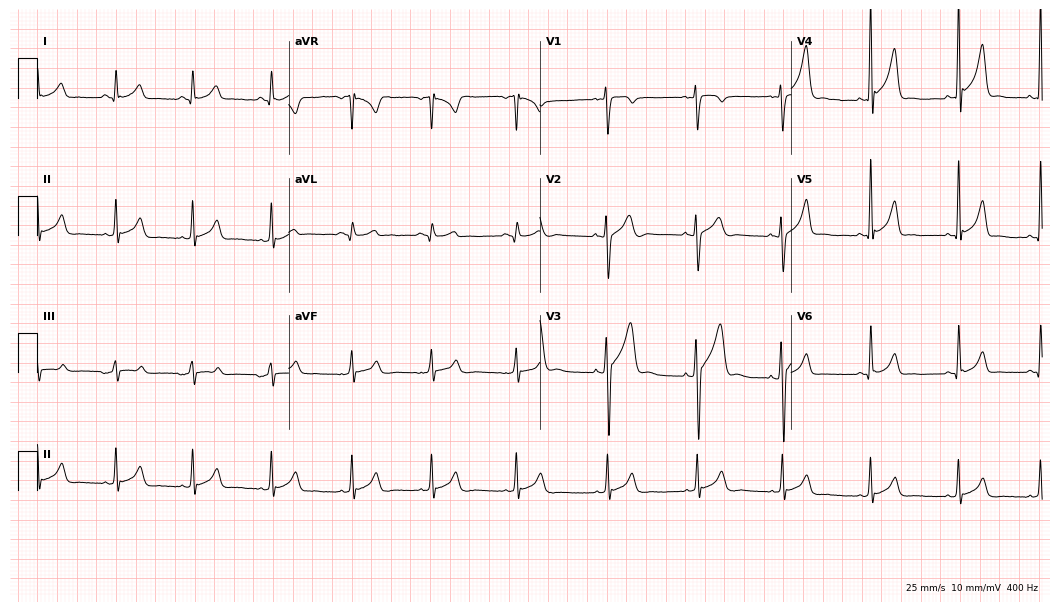
12-lead ECG (10.2-second recording at 400 Hz) from a man, 25 years old. Screened for six findings — first-degree AV block, right bundle branch block, left bundle branch block, sinus bradycardia, atrial fibrillation, sinus tachycardia — none is recorded.